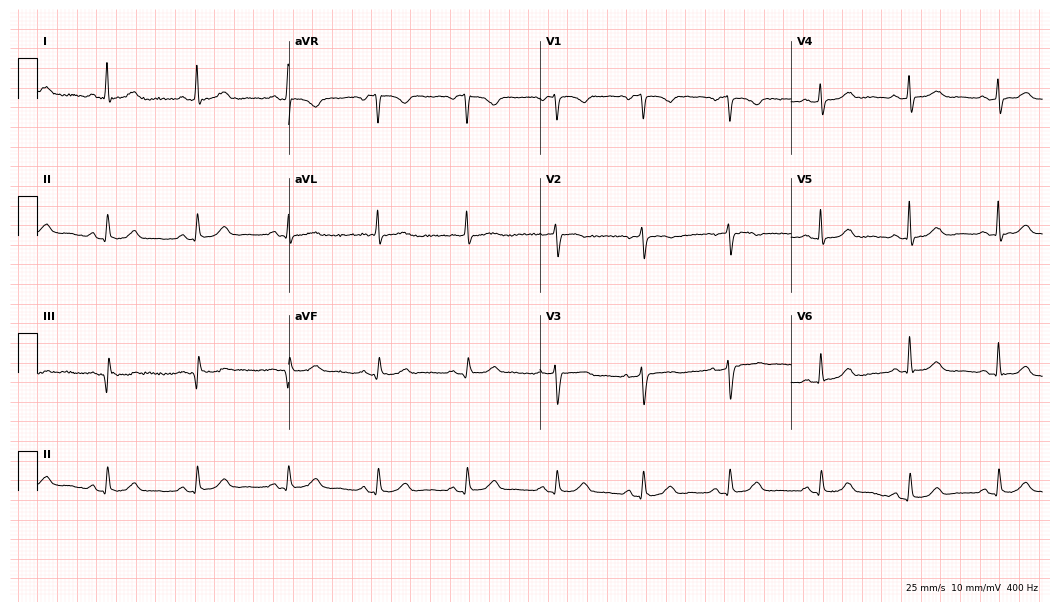
ECG — a 72-year-old woman. Screened for six findings — first-degree AV block, right bundle branch block, left bundle branch block, sinus bradycardia, atrial fibrillation, sinus tachycardia — none is recorded. Only these six findings were labelled.